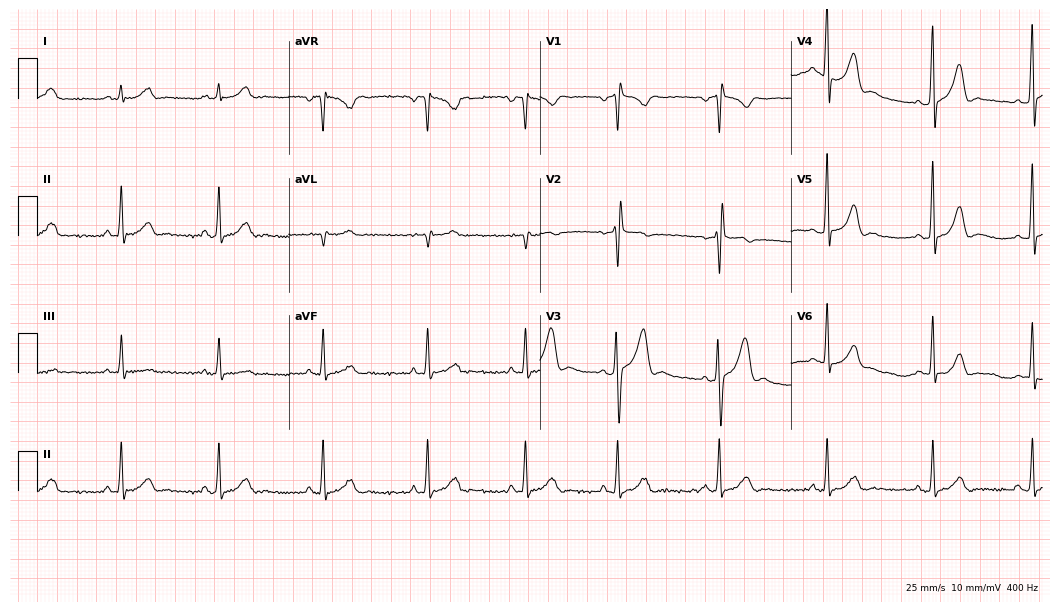
12-lead ECG from a male, 25 years old. Screened for six findings — first-degree AV block, right bundle branch block (RBBB), left bundle branch block (LBBB), sinus bradycardia, atrial fibrillation (AF), sinus tachycardia — none is recorded.